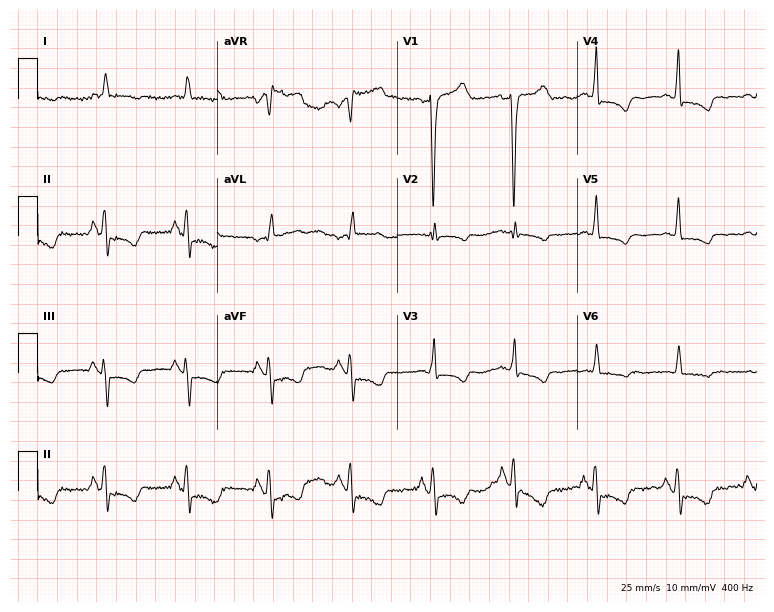
Electrocardiogram (7.3-second recording at 400 Hz), an 85-year-old female patient. Overall reading on record: normal ECG.